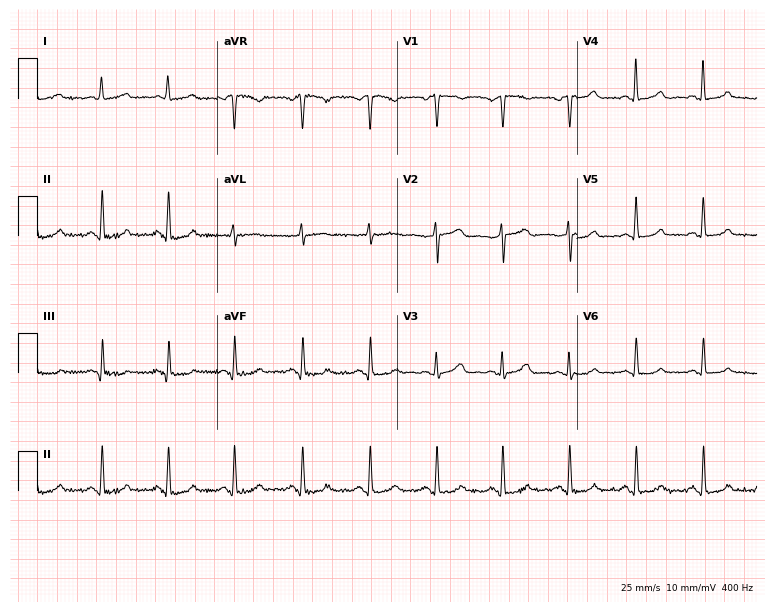
Resting 12-lead electrocardiogram. Patient: a woman, 65 years old. Read as a normal ECG.